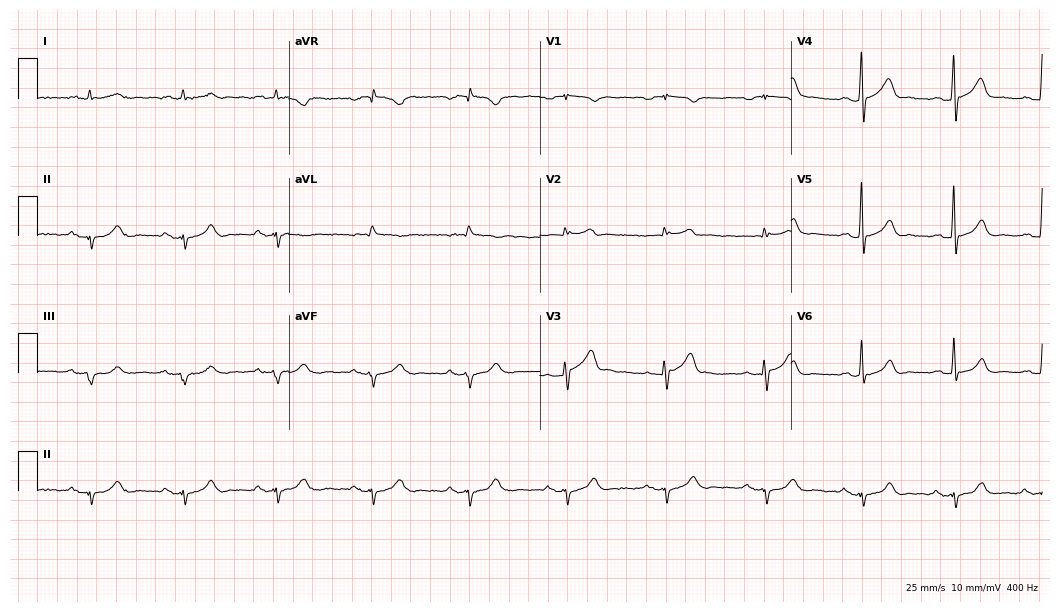
Resting 12-lead electrocardiogram (10.2-second recording at 400 Hz). Patient: a male, 77 years old. None of these six findings is recorded: first-degree AV block, right bundle branch block, left bundle branch block, sinus bradycardia, atrial fibrillation, sinus tachycardia.